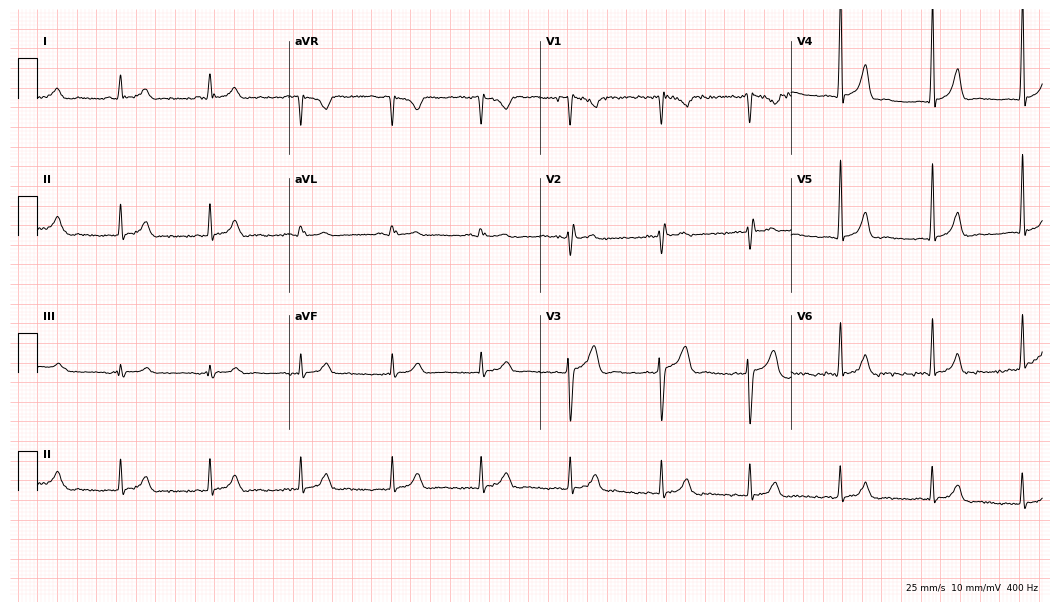
12-lead ECG from a male patient, 33 years old. Labelled as a normal ECG.